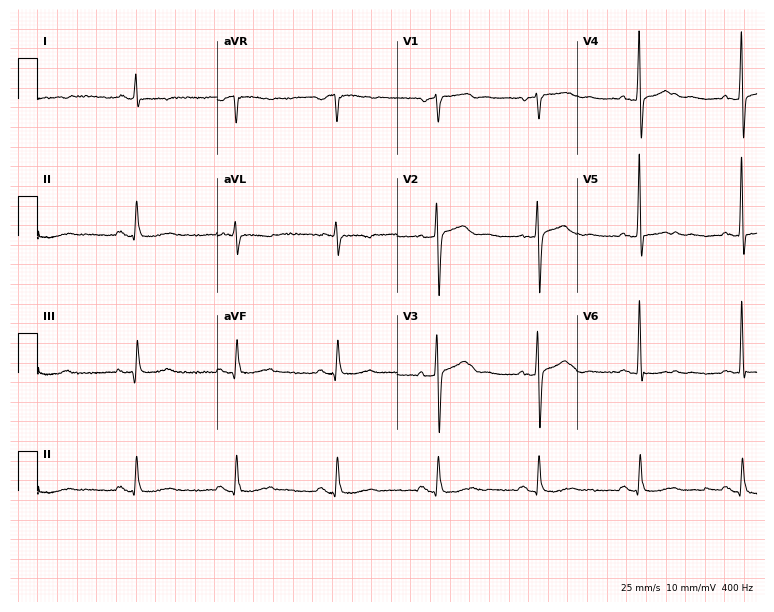
12-lead ECG (7.3-second recording at 400 Hz) from a 74-year-old man. Labelled as a normal ECG.